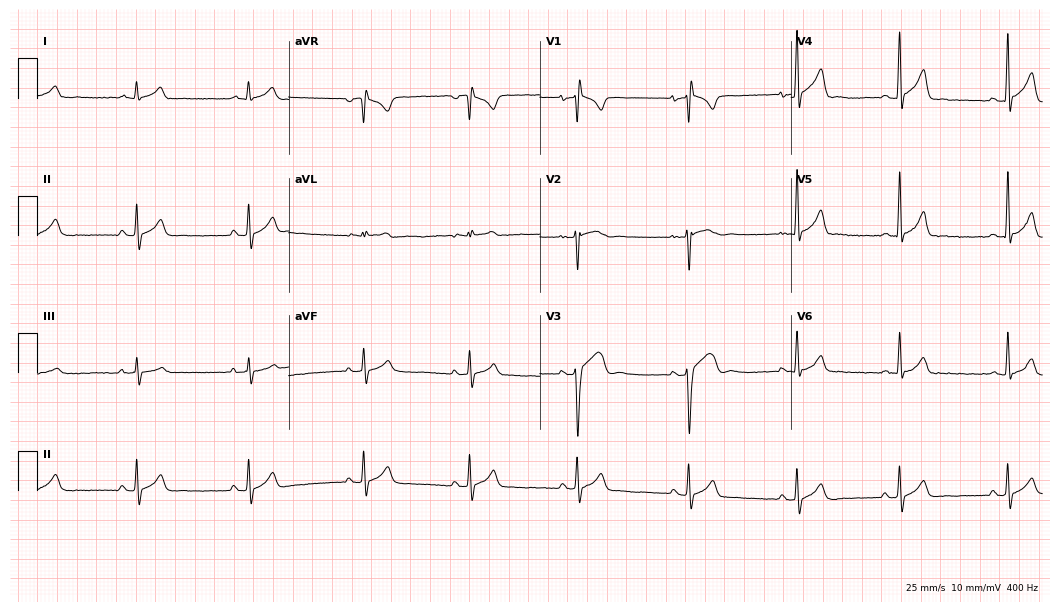
Resting 12-lead electrocardiogram. Patient: a male, 25 years old. Read as a normal ECG.